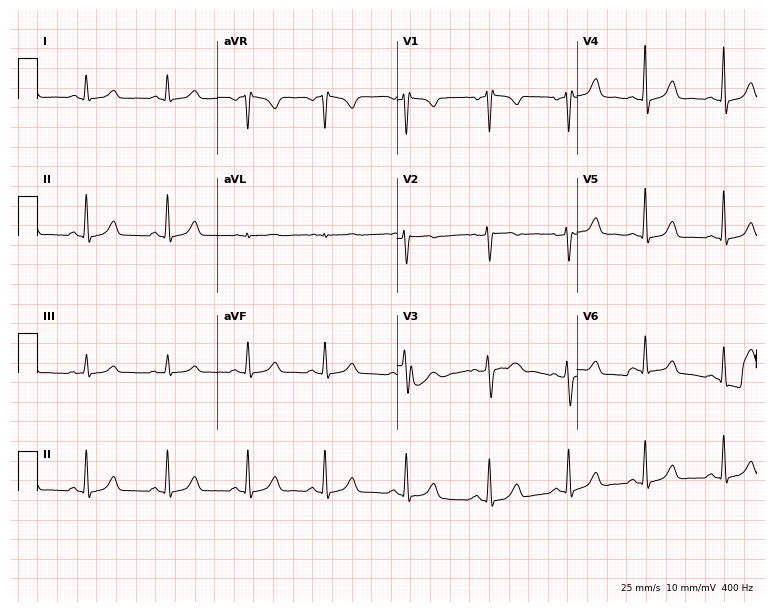
12-lead ECG from a 27-year-old woman. No first-degree AV block, right bundle branch block, left bundle branch block, sinus bradycardia, atrial fibrillation or sinus tachycardia recorded for this tracing.